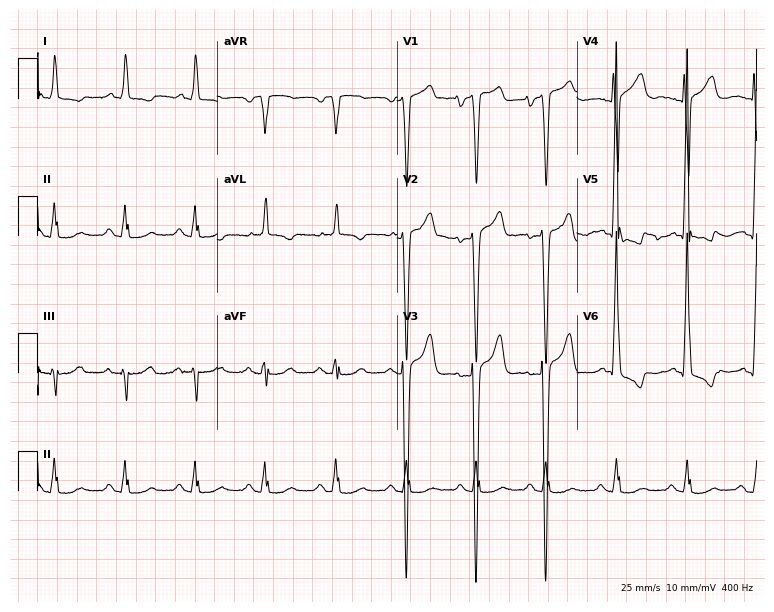
Electrocardiogram (7.3-second recording at 400 Hz), a 60-year-old male. Of the six screened findings (first-degree AV block, right bundle branch block, left bundle branch block, sinus bradycardia, atrial fibrillation, sinus tachycardia), none is recorded. Only these six findings were labelled.